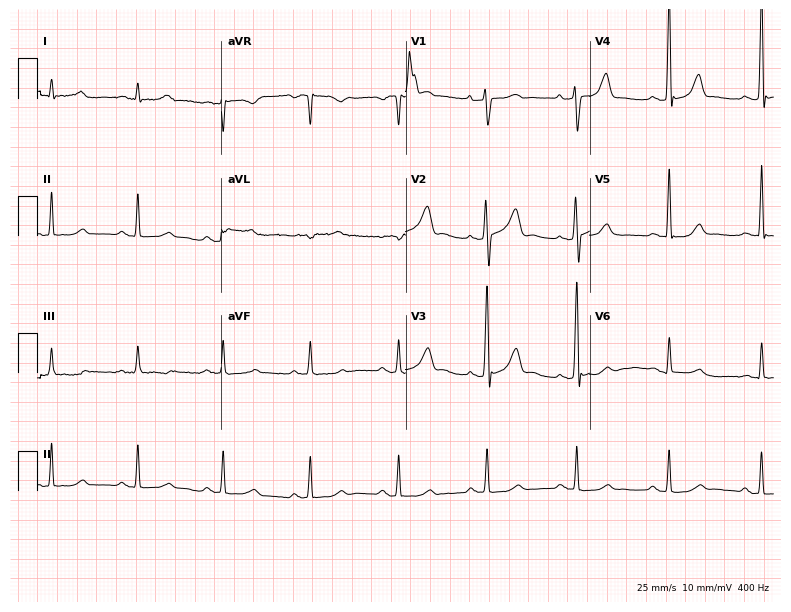
Resting 12-lead electrocardiogram. Patient: a male, 69 years old. Read as a normal ECG.